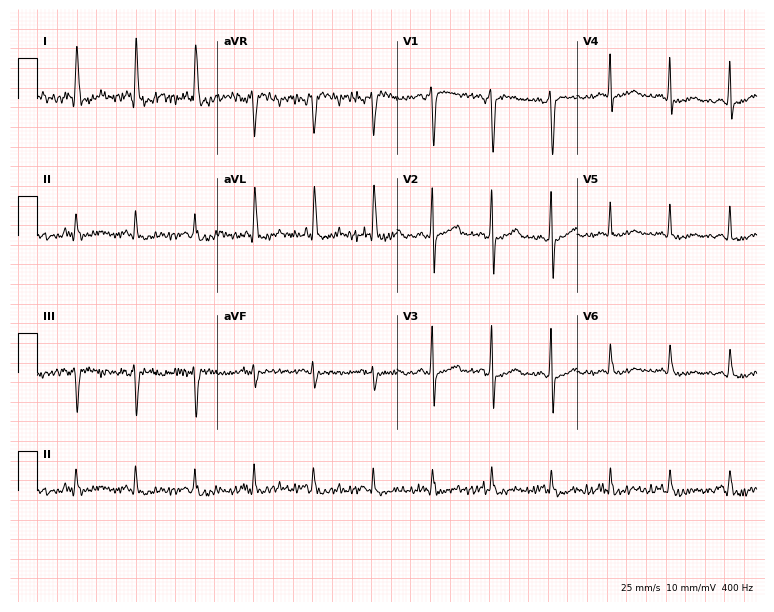
Resting 12-lead electrocardiogram. Patient: a male, 72 years old. None of these six findings is recorded: first-degree AV block, right bundle branch block, left bundle branch block, sinus bradycardia, atrial fibrillation, sinus tachycardia.